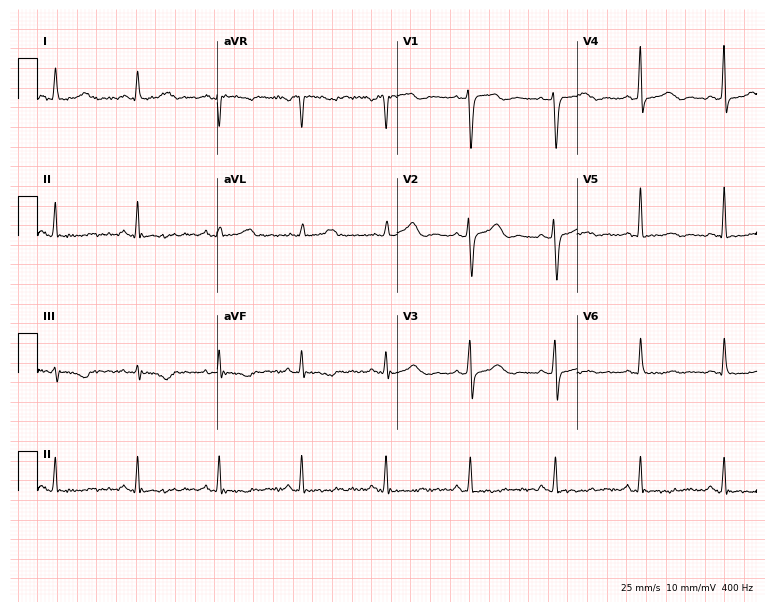
12-lead ECG (7.3-second recording at 400 Hz) from a female, 48 years old. Screened for six findings — first-degree AV block, right bundle branch block (RBBB), left bundle branch block (LBBB), sinus bradycardia, atrial fibrillation (AF), sinus tachycardia — none is recorded. Findings outside these six are not listed.